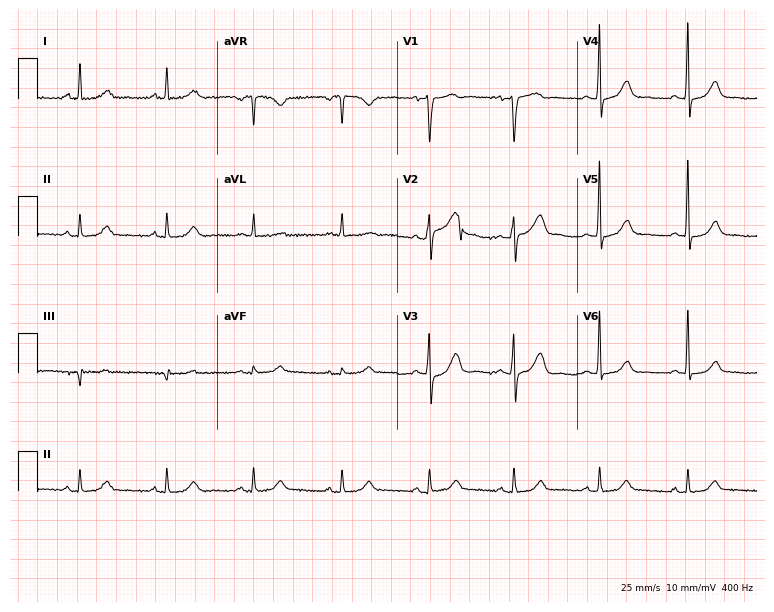
Standard 12-lead ECG recorded from a 56-year-old female. None of these six findings is recorded: first-degree AV block, right bundle branch block (RBBB), left bundle branch block (LBBB), sinus bradycardia, atrial fibrillation (AF), sinus tachycardia. Findings outside these six are not listed.